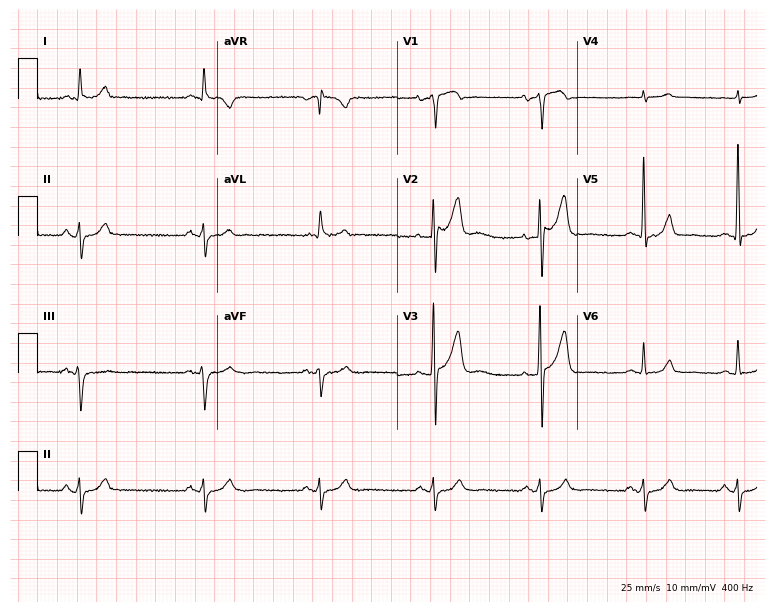
Standard 12-lead ECG recorded from a male, 64 years old. None of these six findings is recorded: first-degree AV block, right bundle branch block, left bundle branch block, sinus bradycardia, atrial fibrillation, sinus tachycardia.